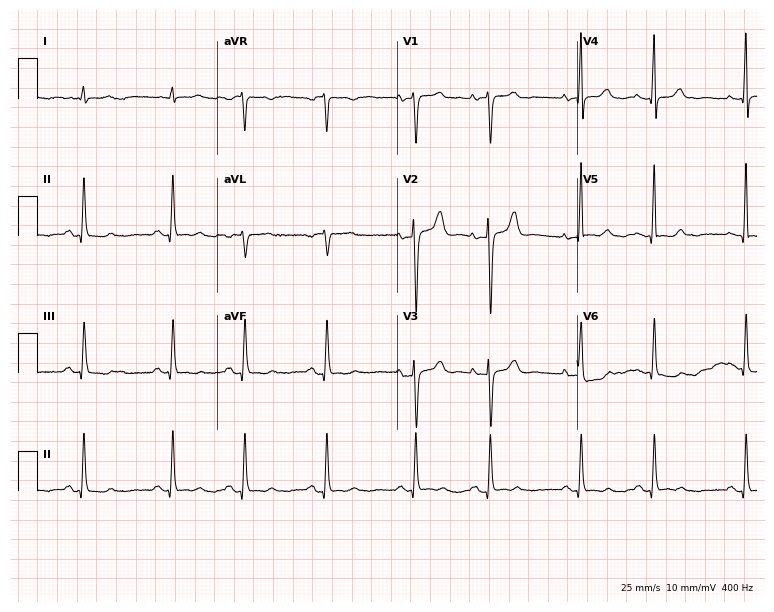
ECG (7.3-second recording at 400 Hz) — a 72-year-old female. Screened for six findings — first-degree AV block, right bundle branch block, left bundle branch block, sinus bradycardia, atrial fibrillation, sinus tachycardia — none is recorded.